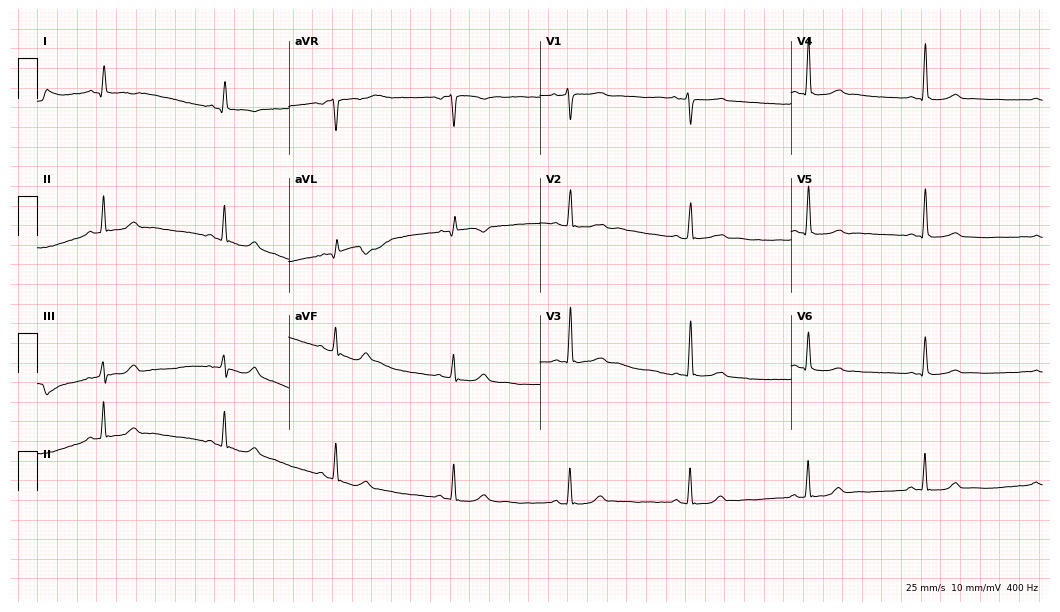
Resting 12-lead electrocardiogram. Patient: a 41-year-old female. None of these six findings is recorded: first-degree AV block, right bundle branch block, left bundle branch block, sinus bradycardia, atrial fibrillation, sinus tachycardia.